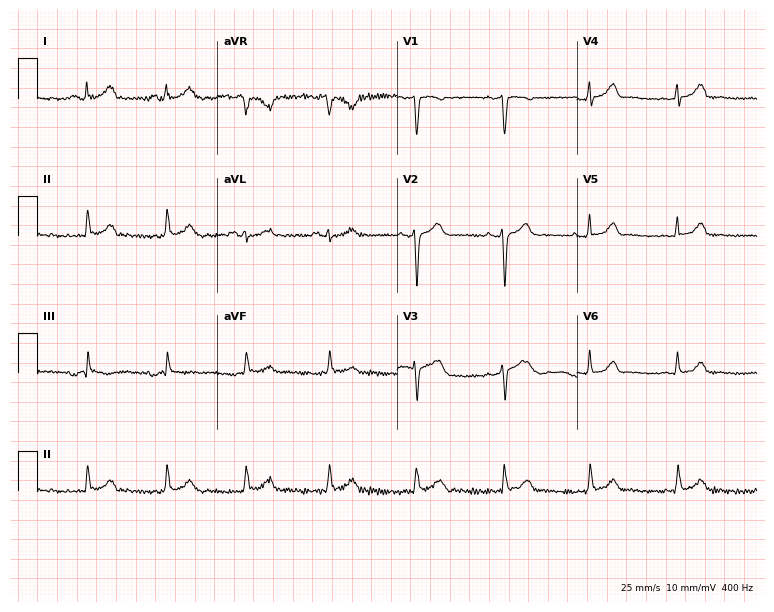
Standard 12-lead ECG recorded from a female patient, 41 years old (7.3-second recording at 400 Hz). Read as a normal ECG.